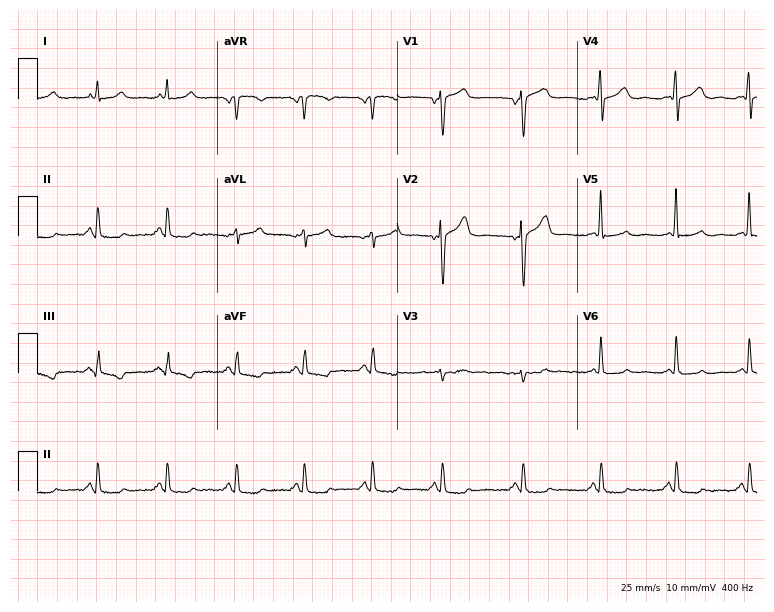
Standard 12-lead ECG recorded from a female patient, 55 years old. None of these six findings is recorded: first-degree AV block, right bundle branch block (RBBB), left bundle branch block (LBBB), sinus bradycardia, atrial fibrillation (AF), sinus tachycardia. Other findings, if any, are not listed.